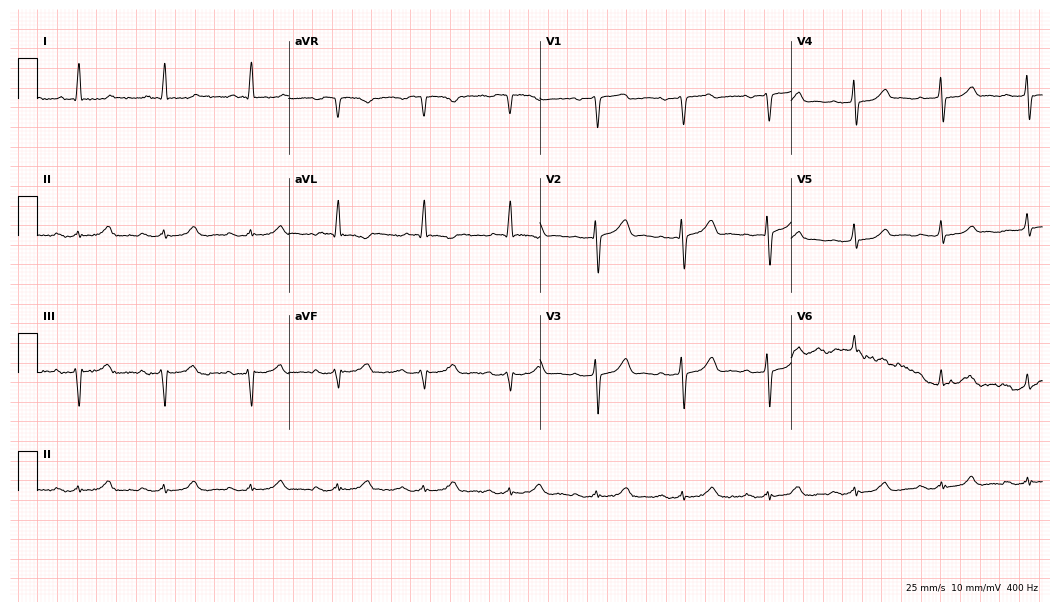
Standard 12-lead ECG recorded from a 73-year-old male patient (10.2-second recording at 400 Hz). None of these six findings is recorded: first-degree AV block, right bundle branch block (RBBB), left bundle branch block (LBBB), sinus bradycardia, atrial fibrillation (AF), sinus tachycardia. Only these six findings were labelled.